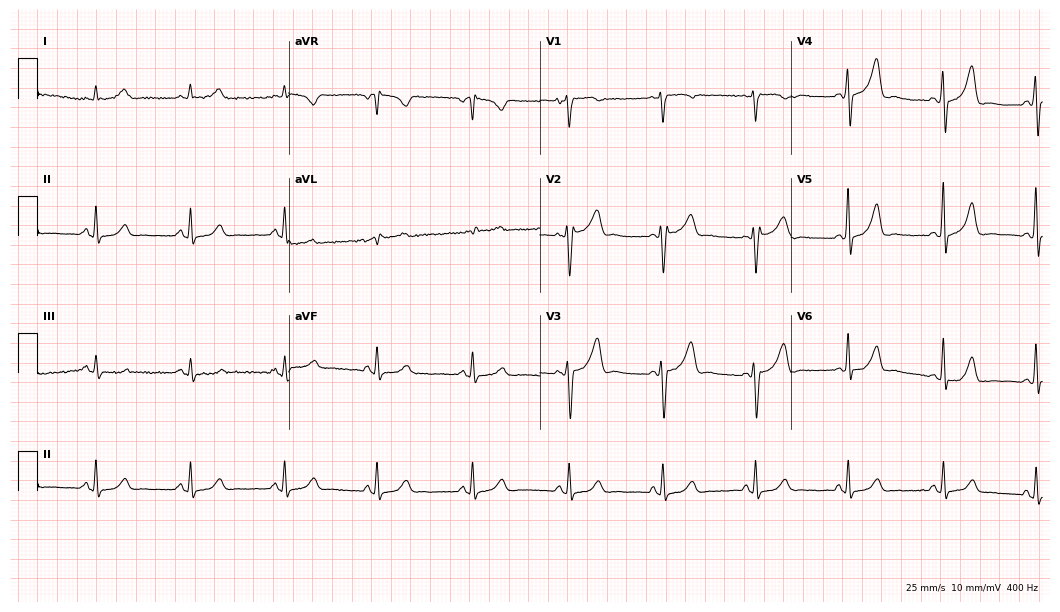
Resting 12-lead electrocardiogram (10.2-second recording at 400 Hz). Patient: a man, 59 years old. None of these six findings is recorded: first-degree AV block, right bundle branch block, left bundle branch block, sinus bradycardia, atrial fibrillation, sinus tachycardia. Only these six findings were labelled.